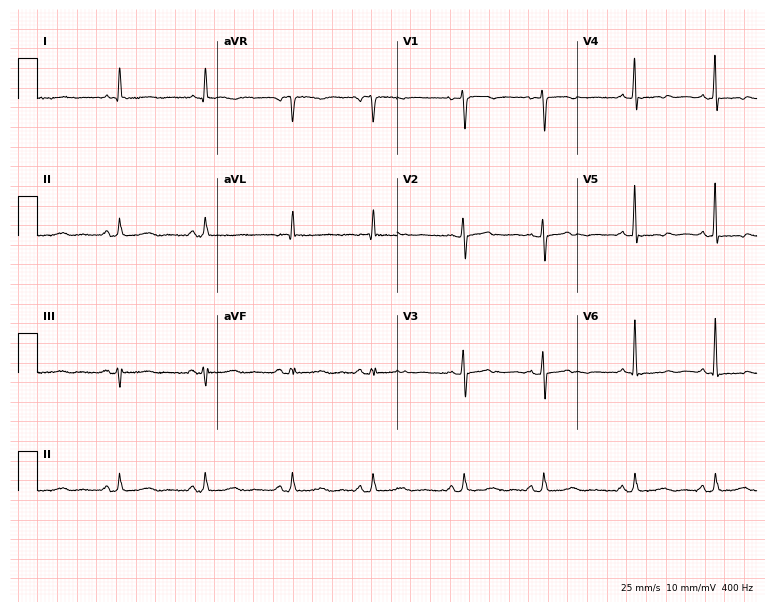
12-lead ECG from a female patient, 72 years old. No first-degree AV block, right bundle branch block, left bundle branch block, sinus bradycardia, atrial fibrillation or sinus tachycardia recorded for this tracing.